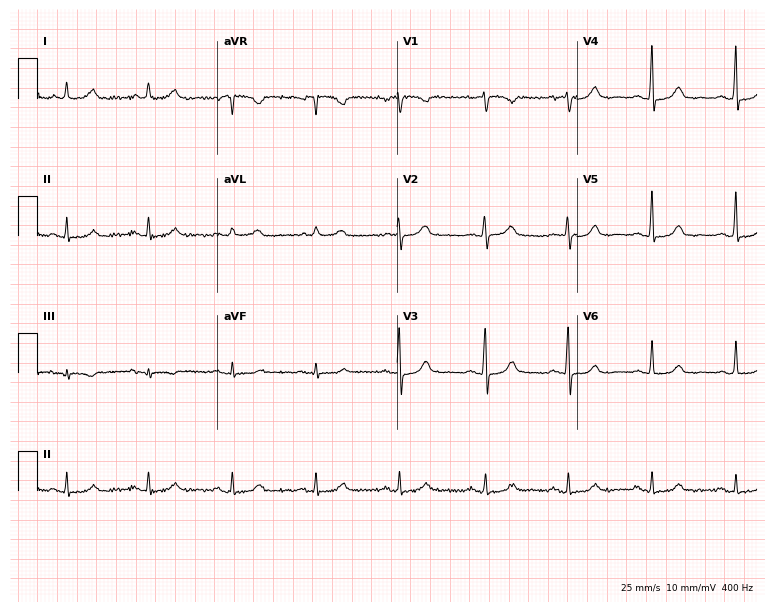
Standard 12-lead ECG recorded from a 60-year-old female (7.3-second recording at 400 Hz). Read as a normal ECG.